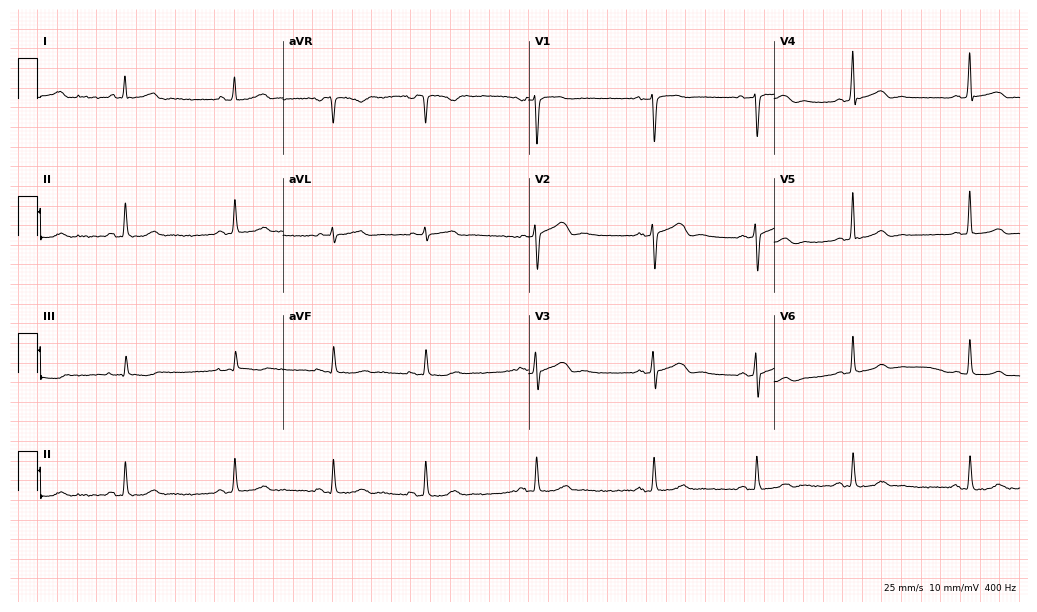
ECG (10-second recording at 400 Hz) — a woman, 34 years old. Labelled as a normal ECG.